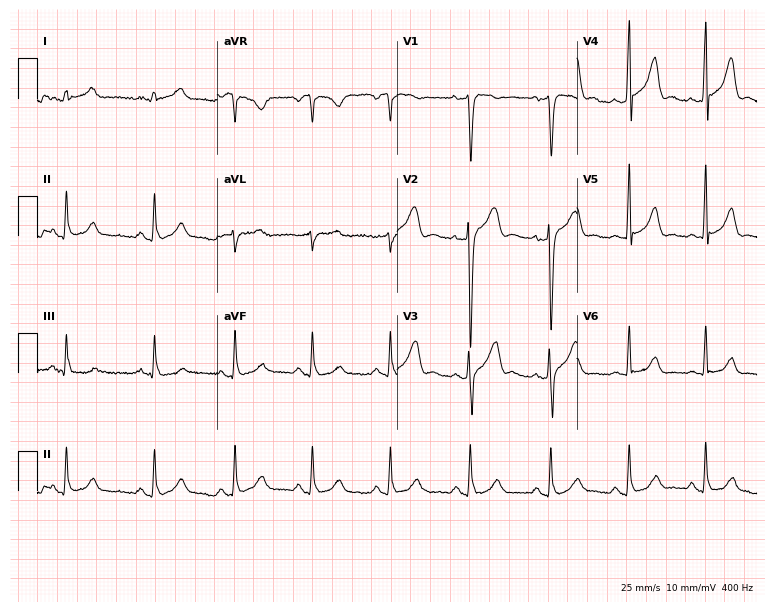
Resting 12-lead electrocardiogram. Patient: a 27-year-old male. Read as a normal ECG.